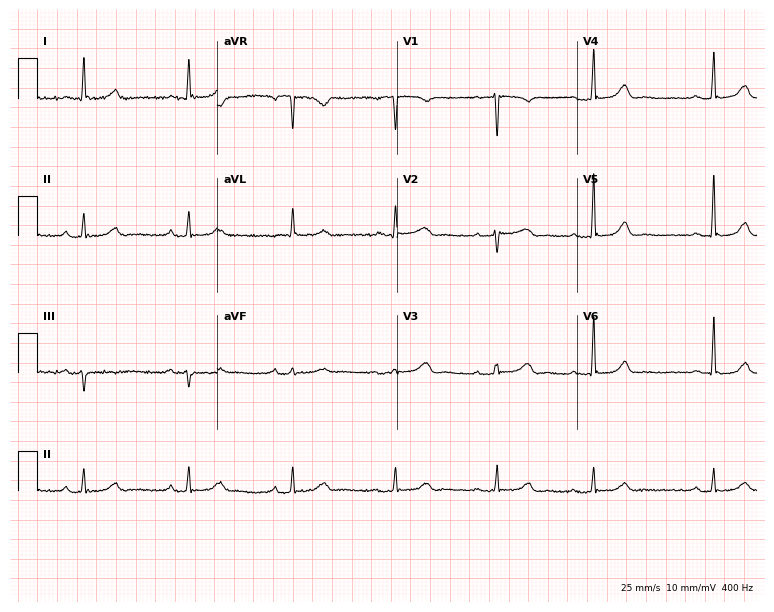
Resting 12-lead electrocardiogram (7.3-second recording at 400 Hz). Patient: a female, 79 years old. None of these six findings is recorded: first-degree AV block, right bundle branch block, left bundle branch block, sinus bradycardia, atrial fibrillation, sinus tachycardia.